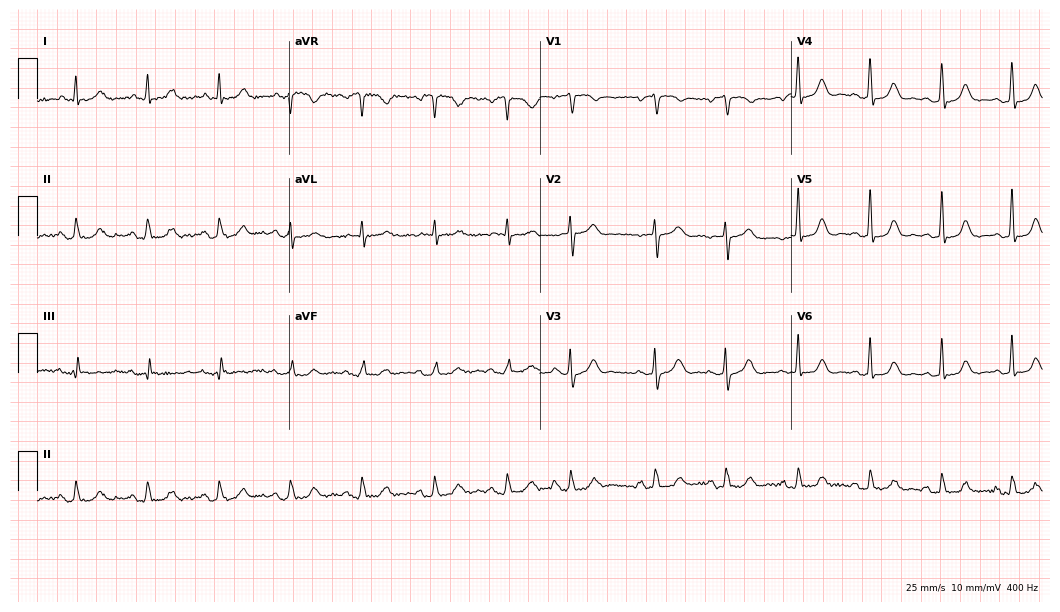
ECG (10.2-second recording at 400 Hz) — a female patient, 65 years old. Screened for six findings — first-degree AV block, right bundle branch block (RBBB), left bundle branch block (LBBB), sinus bradycardia, atrial fibrillation (AF), sinus tachycardia — none is recorded.